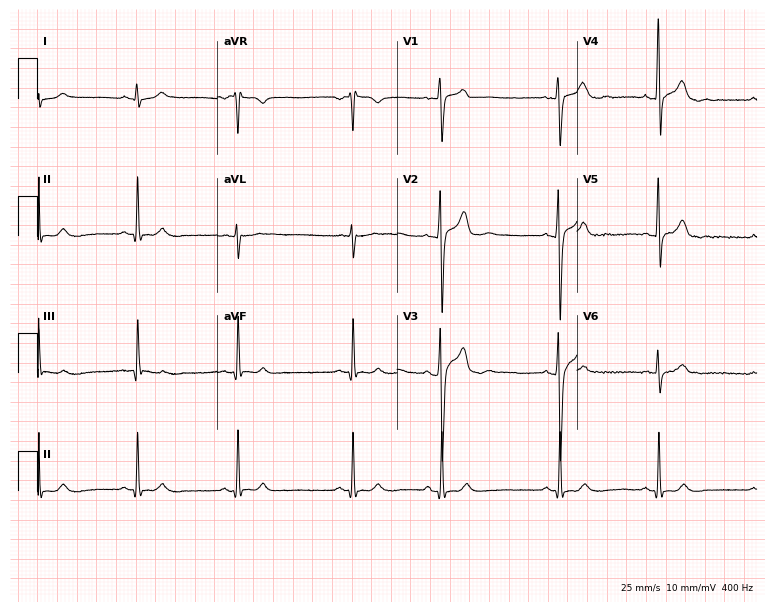
Standard 12-lead ECG recorded from a male, 20 years old (7.3-second recording at 400 Hz). Read as a normal ECG.